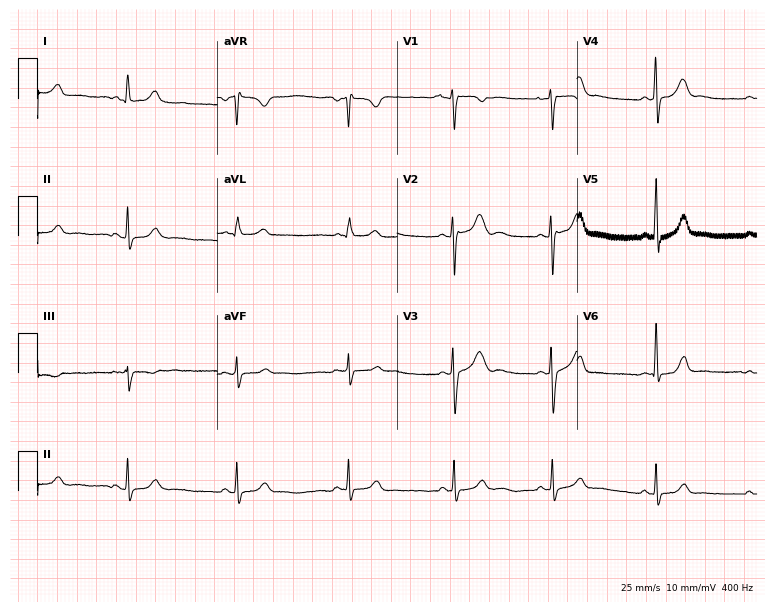
ECG (7.3-second recording at 400 Hz) — a woman, 20 years old. Labelled as a normal ECG.